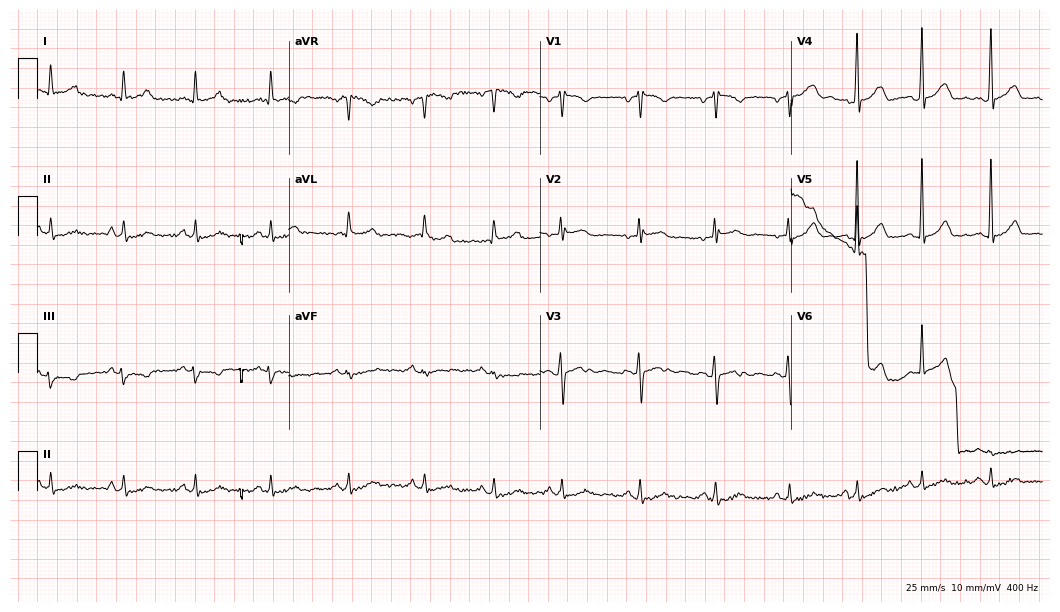
ECG — a female, 40 years old. Screened for six findings — first-degree AV block, right bundle branch block (RBBB), left bundle branch block (LBBB), sinus bradycardia, atrial fibrillation (AF), sinus tachycardia — none is recorded.